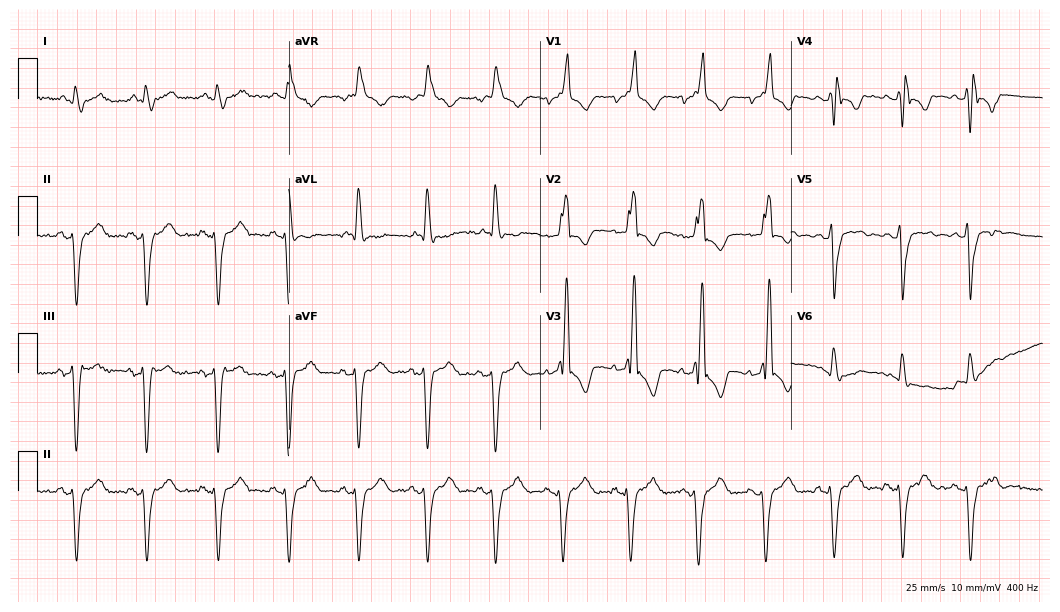
ECG — an 85-year-old male patient. Findings include right bundle branch block.